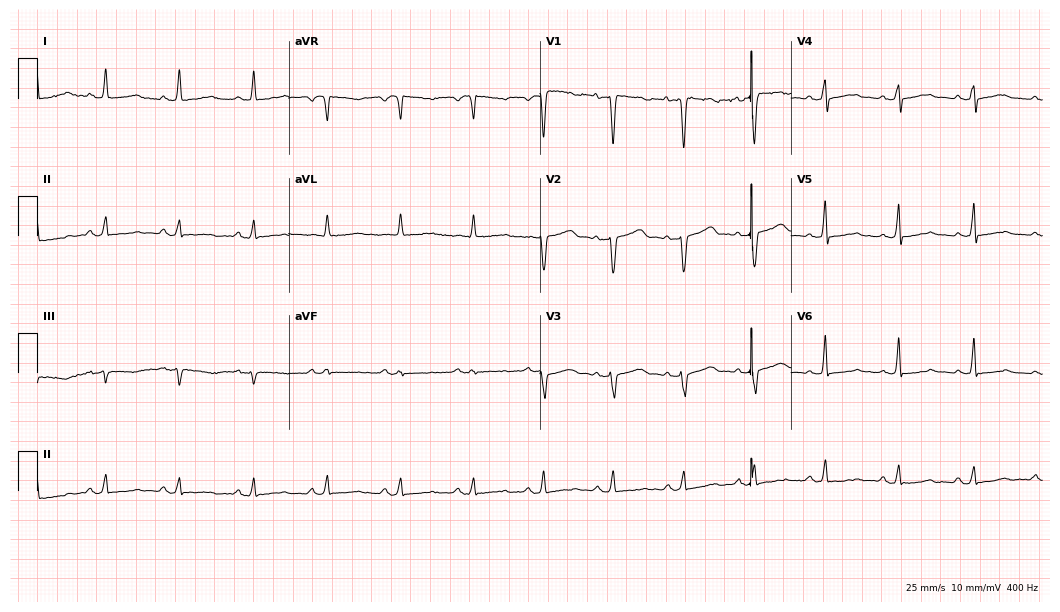
Standard 12-lead ECG recorded from a 63-year-old woman (10.2-second recording at 400 Hz). Read as a normal ECG.